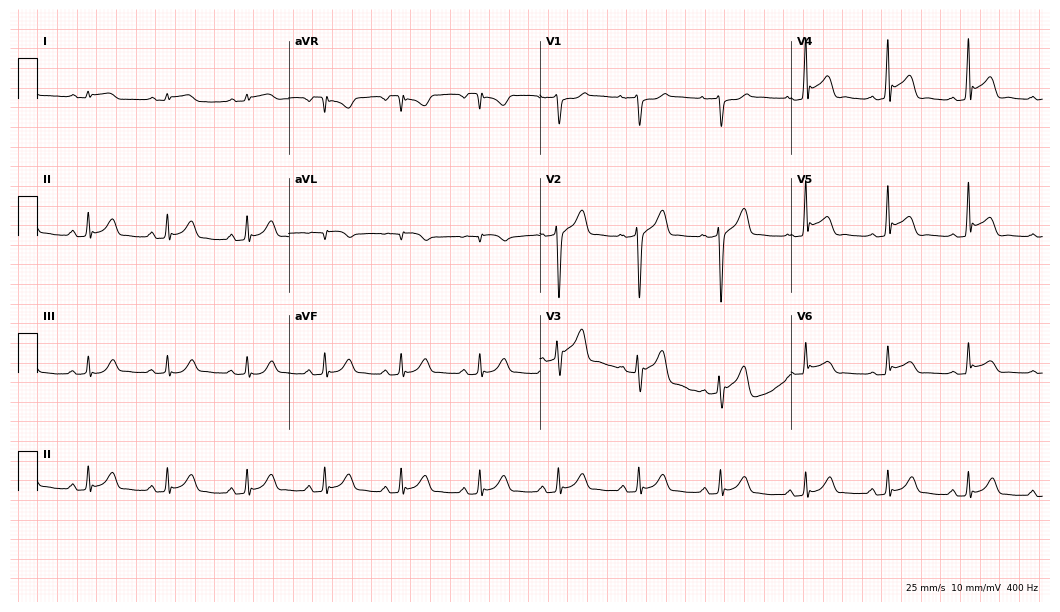
12-lead ECG from a 23-year-old man. Screened for six findings — first-degree AV block, right bundle branch block (RBBB), left bundle branch block (LBBB), sinus bradycardia, atrial fibrillation (AF), sinus tachycardia — none is recorded.